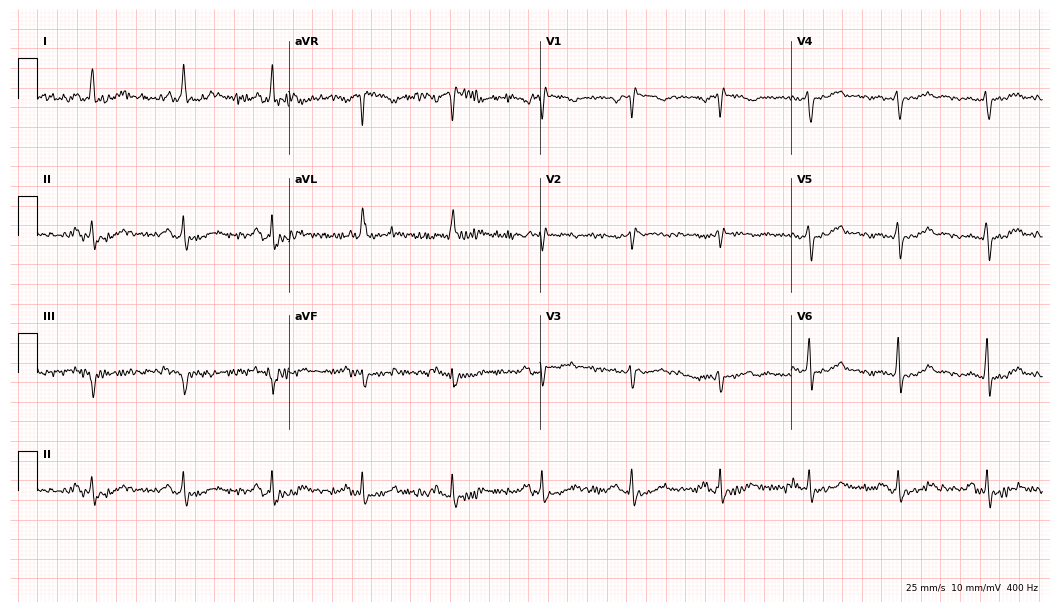
12-lead ECG from a male patient, 54 years old. Screened for six findings — first-degree AV block, right bundle branch block, left bundle branch block, sinus bradycardia, atrial fibrillation, sinus tachycardia — none is recorded.